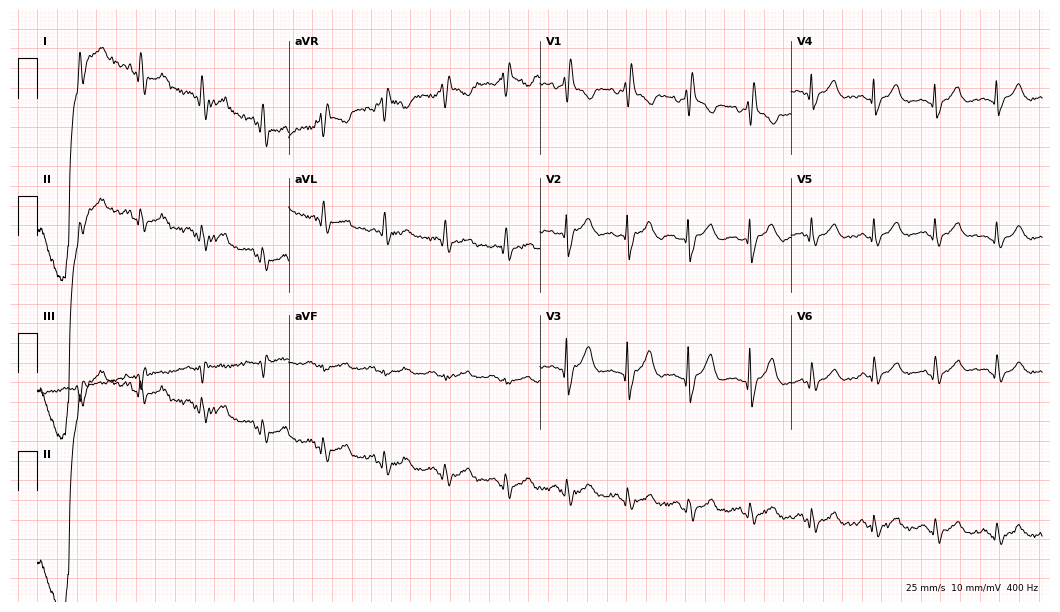
Resting 12-lead electrocardiogram (10.2-second recording at 400 Hz). Patient: a woman, 62 years old. None of these six findings is recorded: first-degree AV block, right bundle branch block, left bundle branch block, sinus bradycardia, atrial fibrillation, sinus tachycardia. Other findings, if any, are not listed.